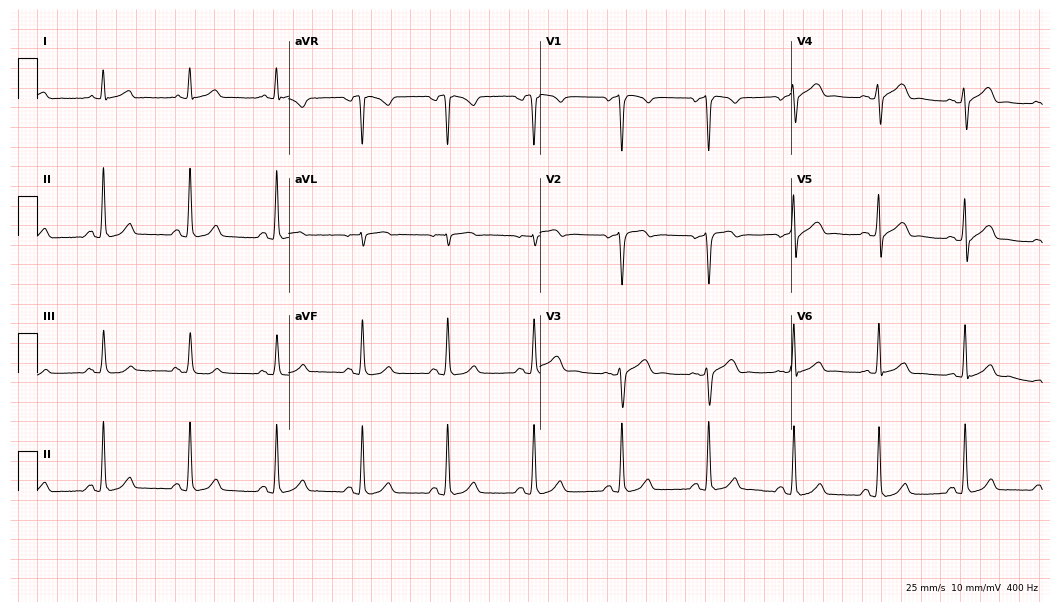
Electrocardiogram (10.2-second recording at 400 Hz), a man, 44 years old. Overall reading on record: normal ECG.